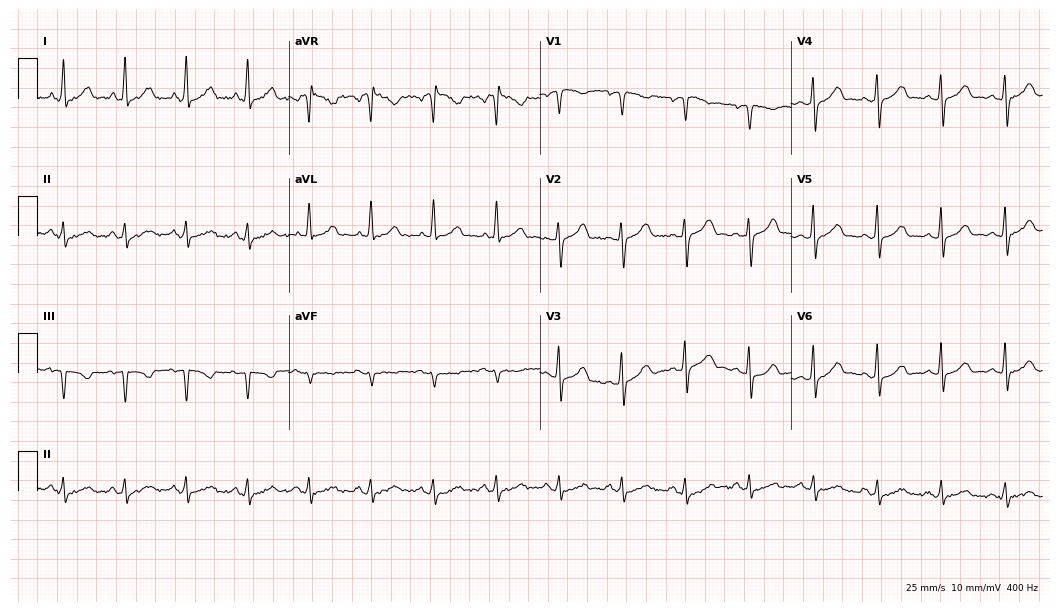
ECG (10.2-second recording at 400 Hz) — a female patient, 40 years old. Labelled as a normal ECG.